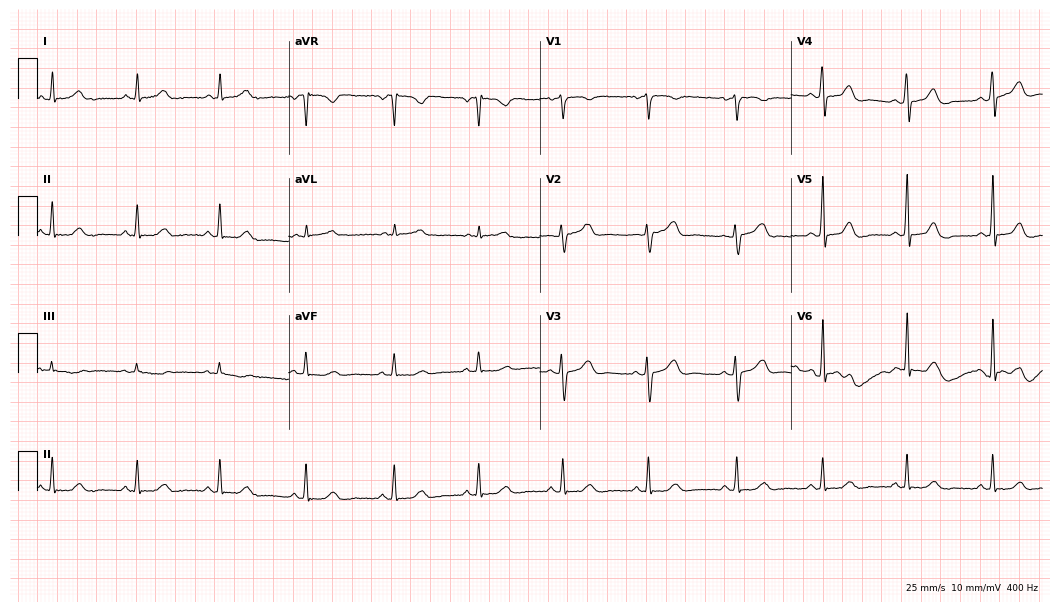
ECG — a female patient, 49 years old. Labelled as a normal ECG.